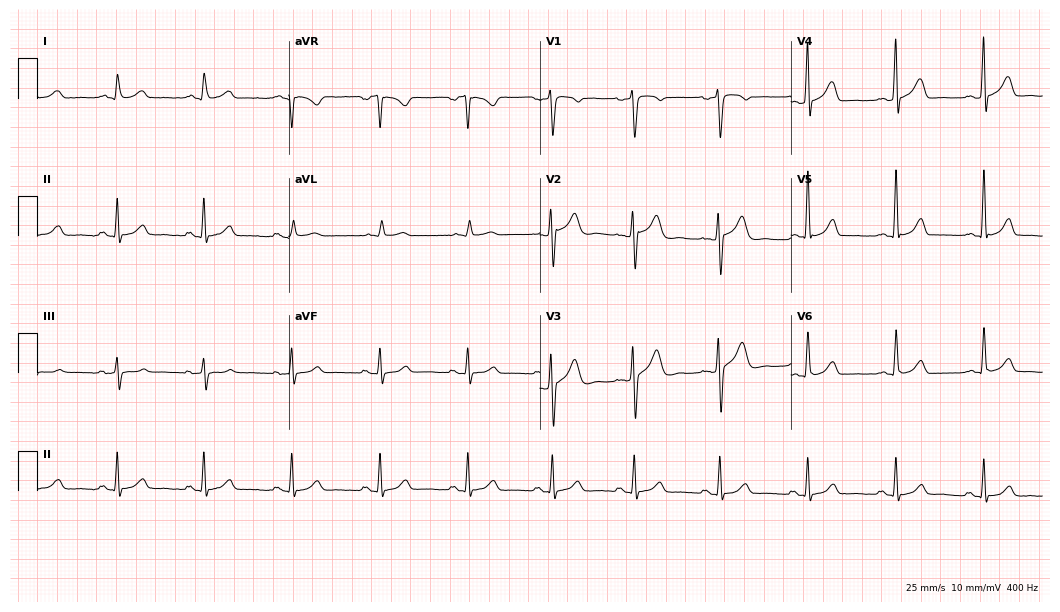
Standard 12-lead ECG recorded from a male patient, 51 years old (10.2-second recording at 400 Hz). Read as a normal ECG.